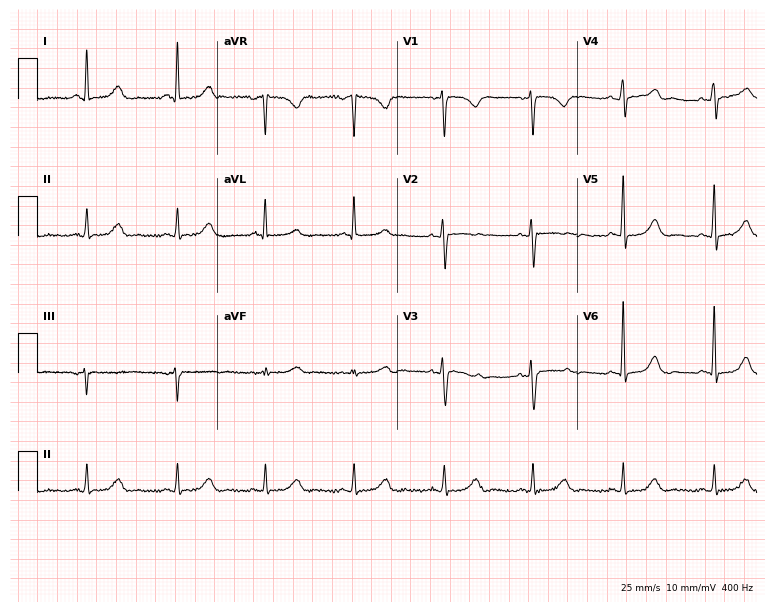
Standard 12-lead ECG recorded from a female patient, 50 years old. None of these six findings is recorded: first-degree AV block, right bundle branch block, left bundle branch block, sinus bradycardia, atrial fibrillation, sinus tachycardia. Only these six findings were labelled.